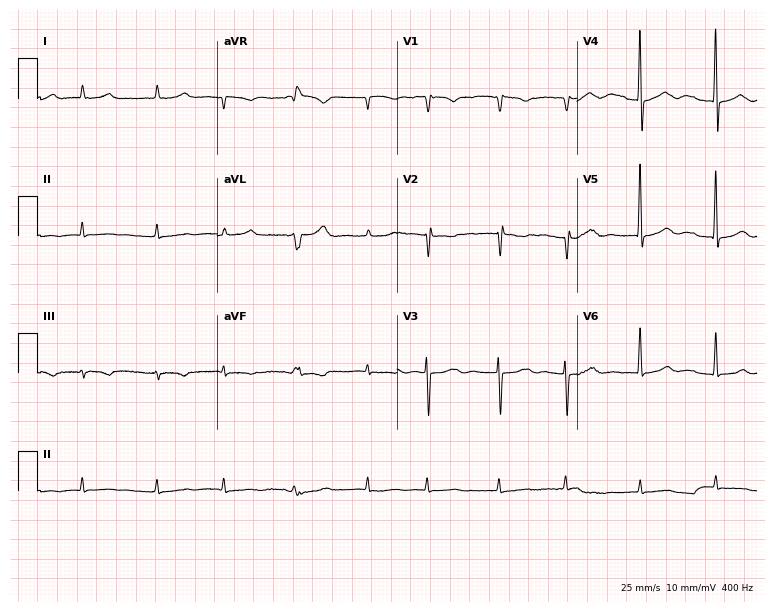
12-lead ECG (7.3-second recording at 400 Hz) from a male, 88 years old. Findings include atrial fibrillation.